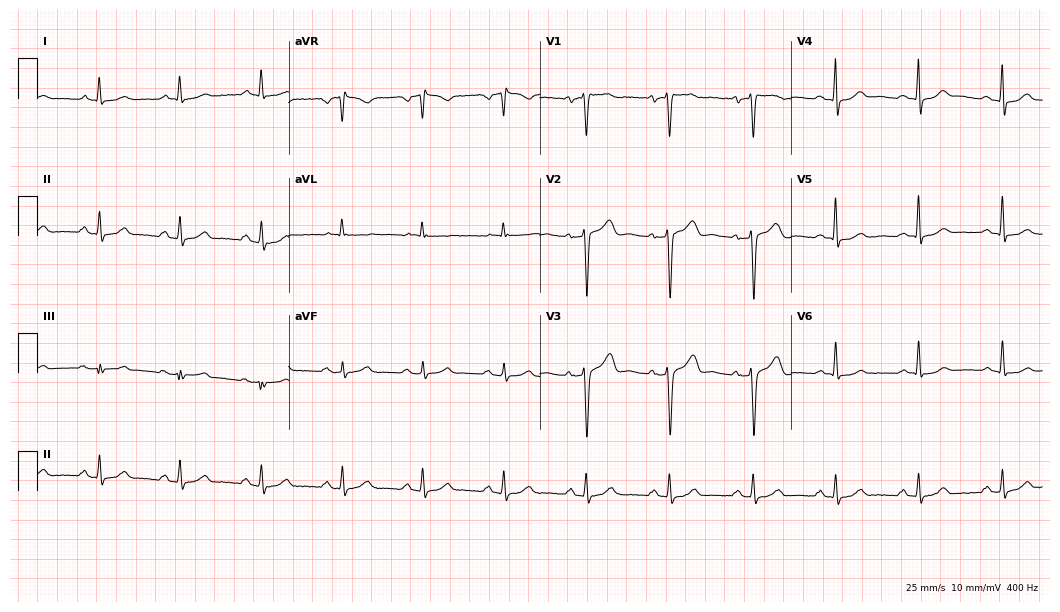
12-lead ECG from a 50-year-old man. Labelled as a normal ECG.